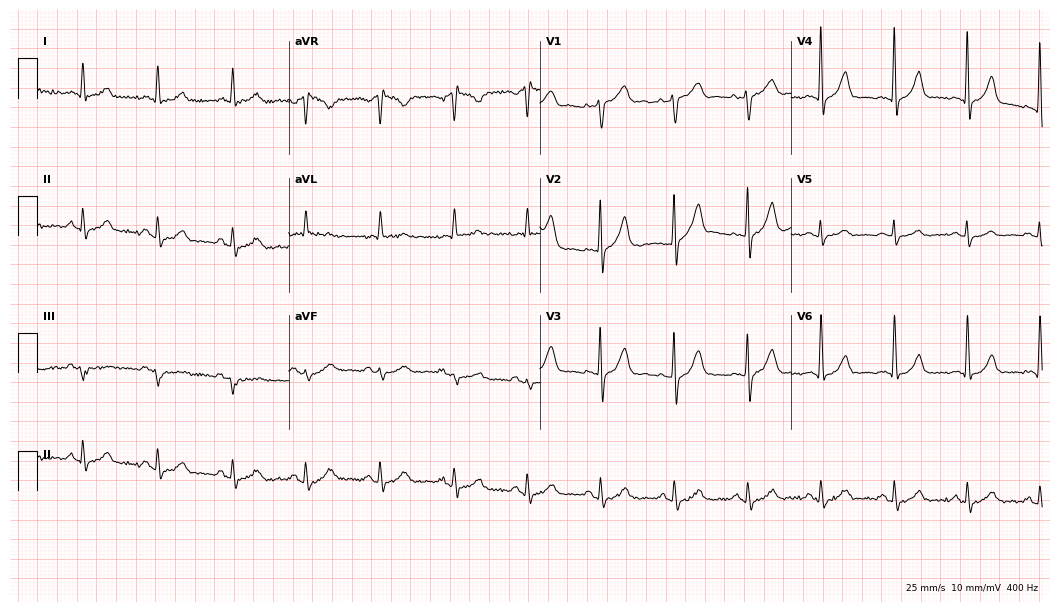
12-lead ECG (10.2-second recording at 400 Hz) from a 65-year-old male. Labelled as a normal ECG.